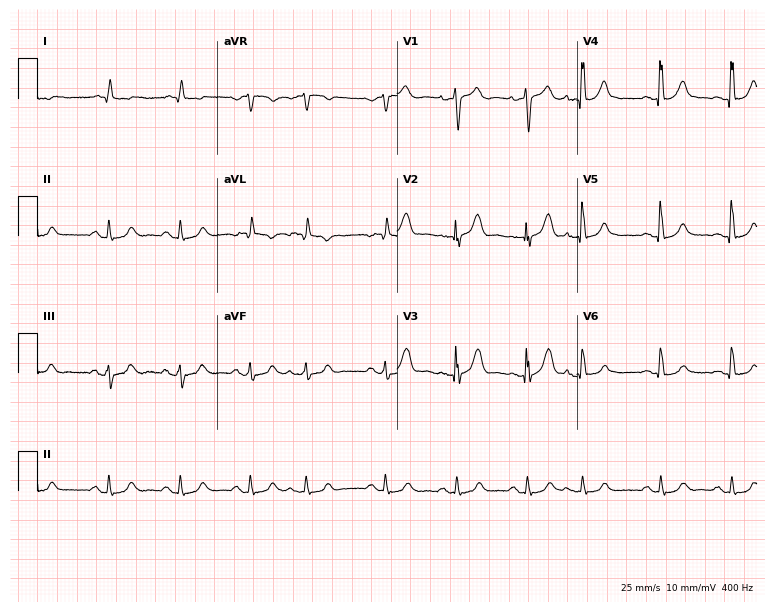
ECG — a 79-year-old male patient. Screened for six findings — first-degree AV block, right bundle branch block (RBBB), left bundle branch block (LBBB), sinus bradycardia, atrial fibrillation (AF), sinus tachycardia — none is recorded. Other findings, if any, are not listed.